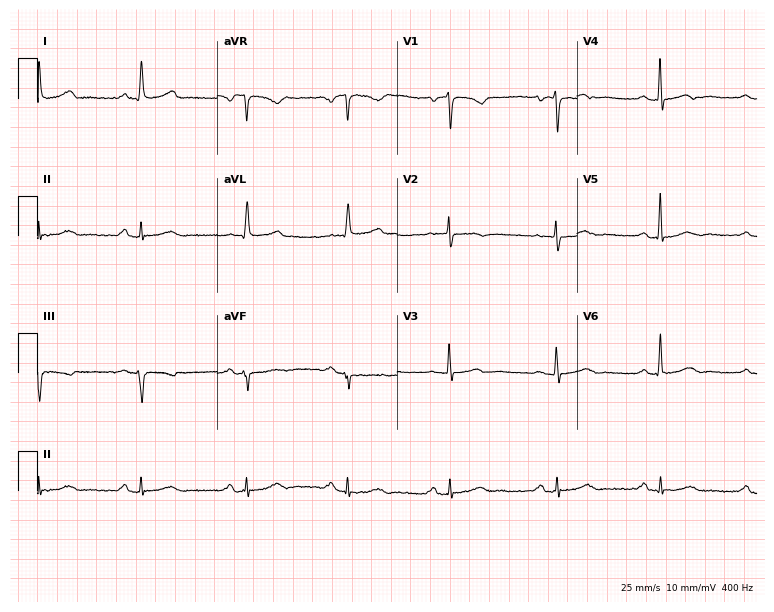
ECG (7.3-second recording at 400 Hz) — a woman, 61 years old. Screened for six findings — first-degree AV block, right bundle branch block, left bundle branch block, sinus bradycardia, atrial fibrillation, sinus tachycardia — none is recorded. Only these six findings were labelled.